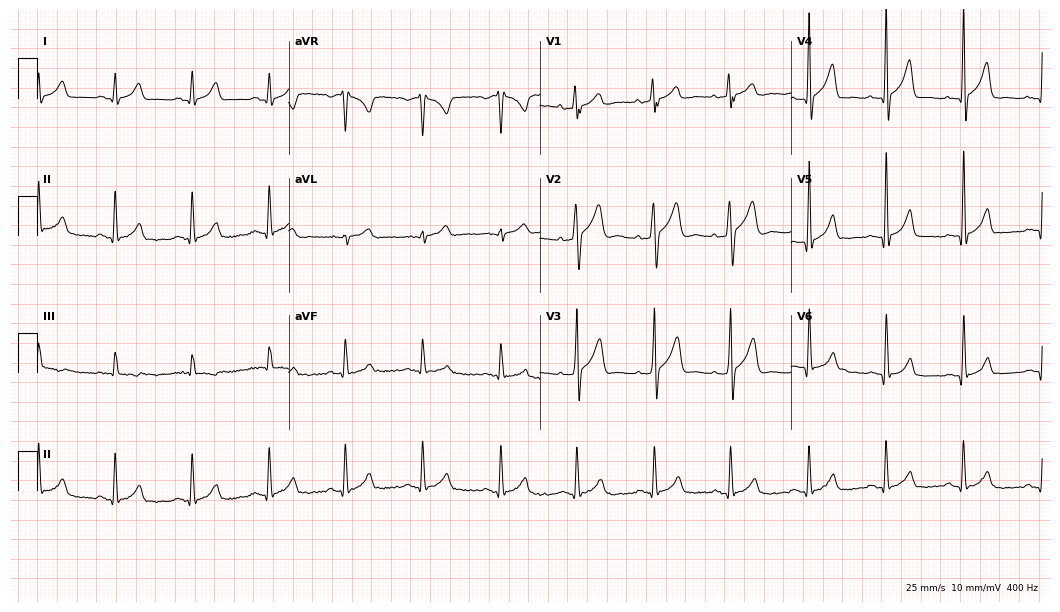
Resting 12-lead electrocardiogram (10.2-second recording at 400 Hz). Patient: a male, 24 years old. Read as a normal ECG.